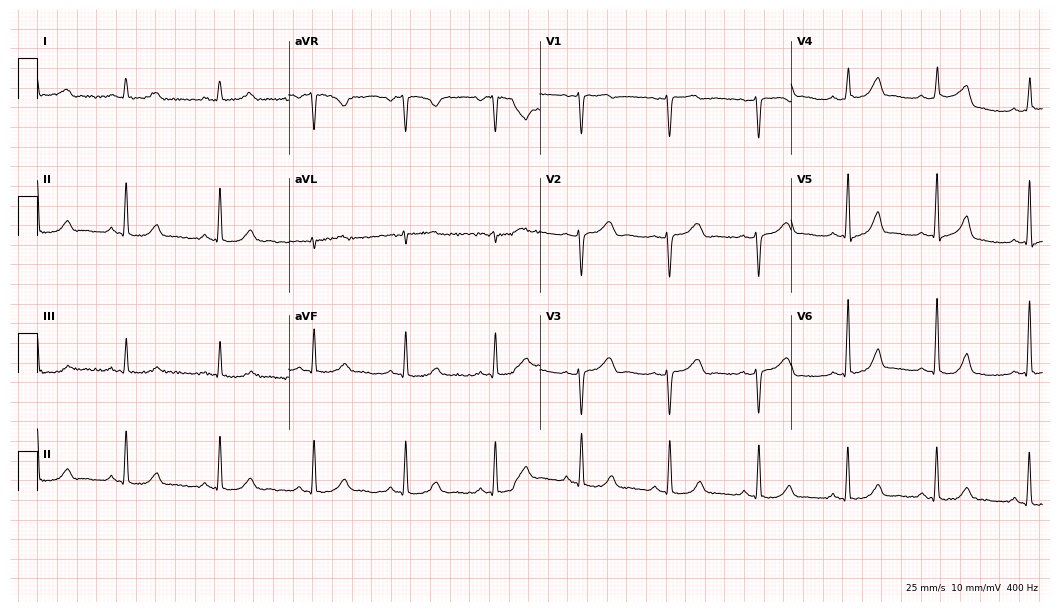
ECG — a 39-year-old female. Labelled as a normal ECG.